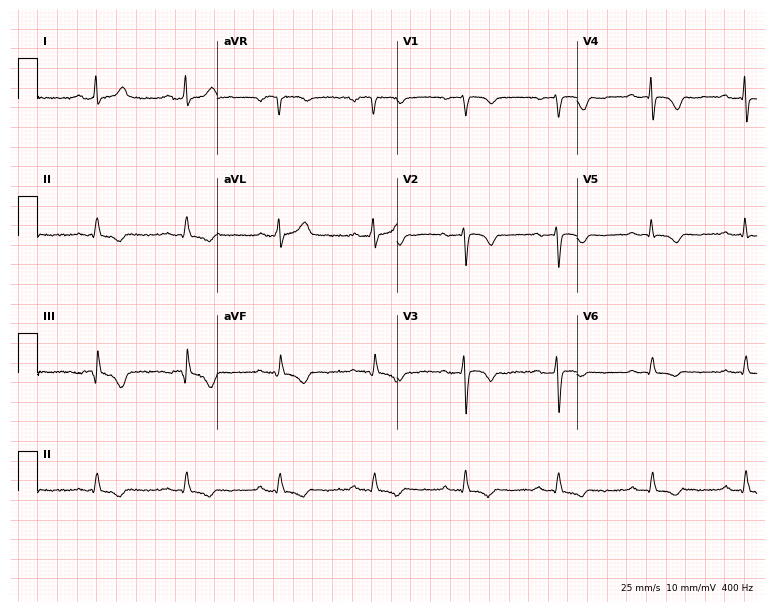
Standard 12-lead ECG recorded from a female patient, 72 years old. None of these six findings is recorded: first-degree AV block, right bundle branch block (RBBB), left bundle branch block (LBBB), sinus bradycardia, atrial fibrillation (AF), sinus tachycardia. Only these six findings were labelled.